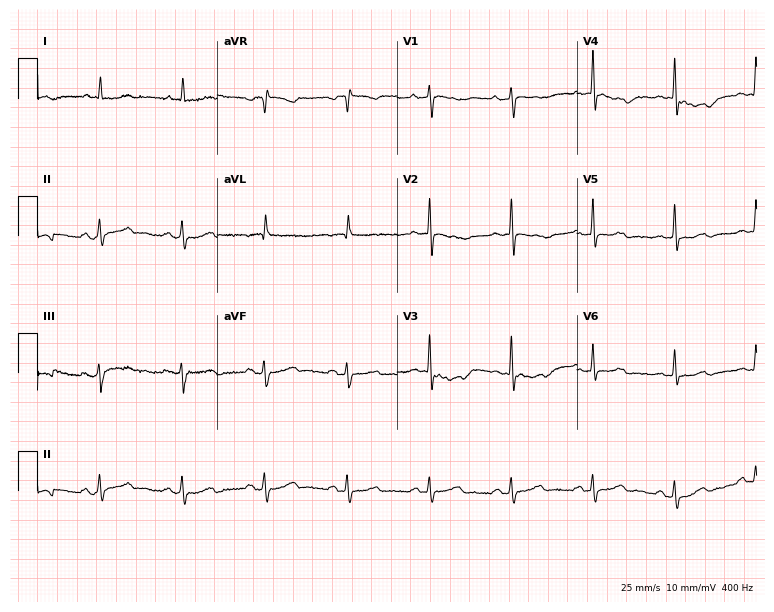
Electrocardiogram, a 73-year-old woman. Of the six screened findings (first-degree AV block, right bundle branch block, left bundle branch block, sinus bradycardia, atrial fibrillation, sinus tachycardia), none is recorded. Other findings, if any, are not listed.